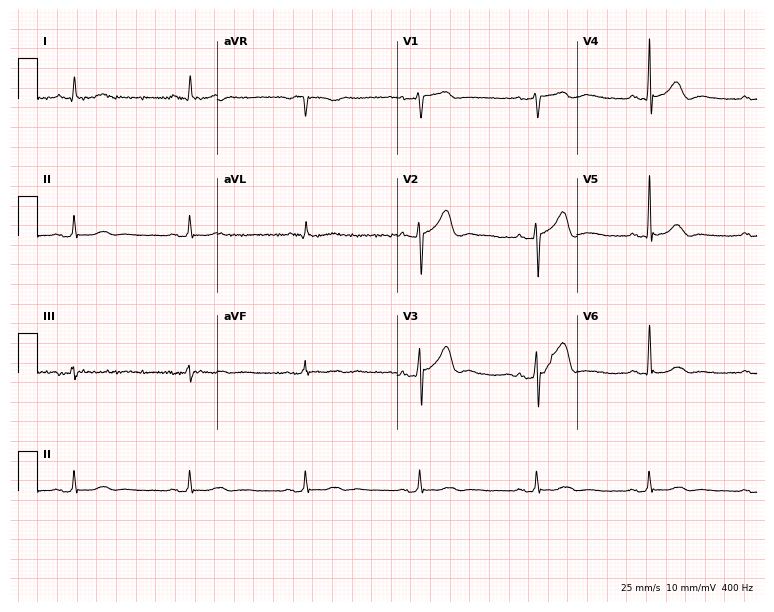
Electrocardiogram, a 67-year-old male patient. Of the six screened findings (first-degree AV block, right bundle branch block (RBBB), left bundle branch block (LBBB), sinus bradycardia, atrial fibrillation (AF), sinus tachycardia), none is recorded.